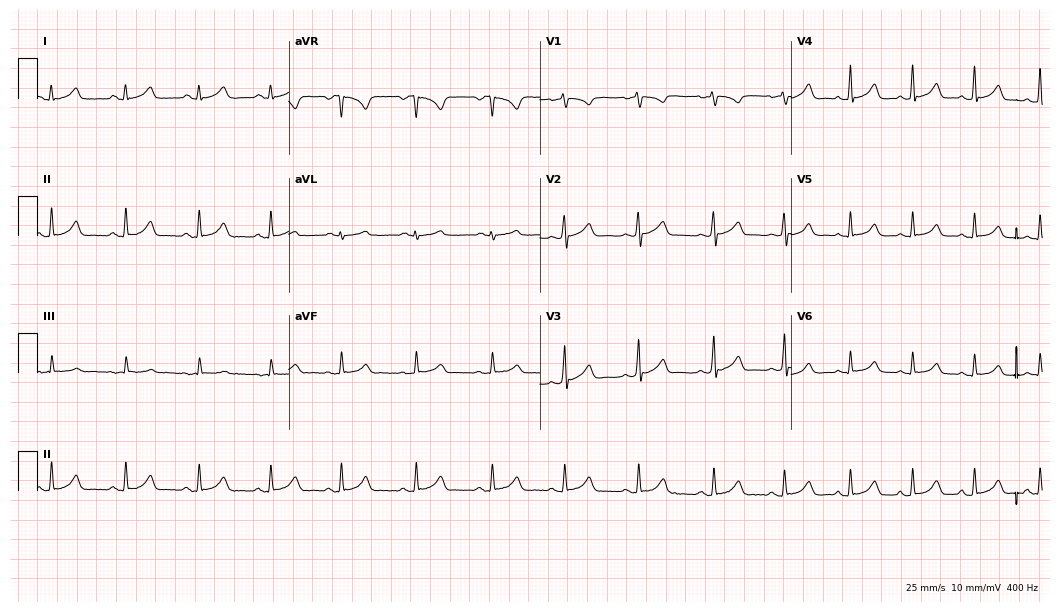
Standard 12-lead ECG recorded from a woman, 20 years old. None of these six findings is recorded: first-degree AV block, right bundle branch block, left bundle branch block, sinus bradycardia, atrial fibrillation, sinus tachycardia.